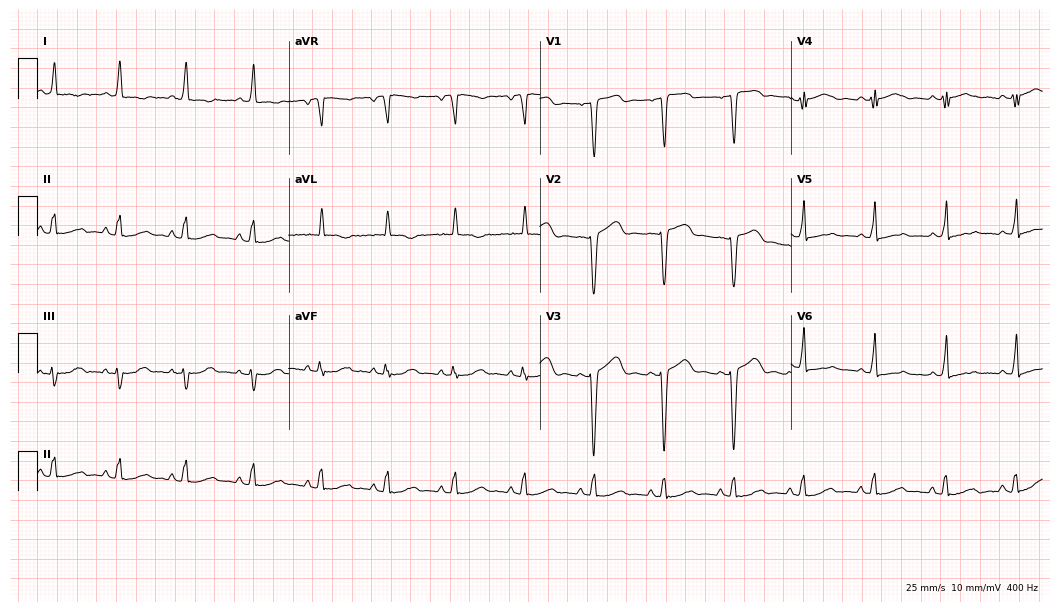
12-lead ECG (10.2-second recording at 400 Hz) from a 52-year-old woman. Screened for six findings — first-degree AV block, right bundle branch block, left bundle branch block, sinus bradycardia, atrial fibrillation, sinus tachycardia — none is recorded. Other findings, if any, are not listed.